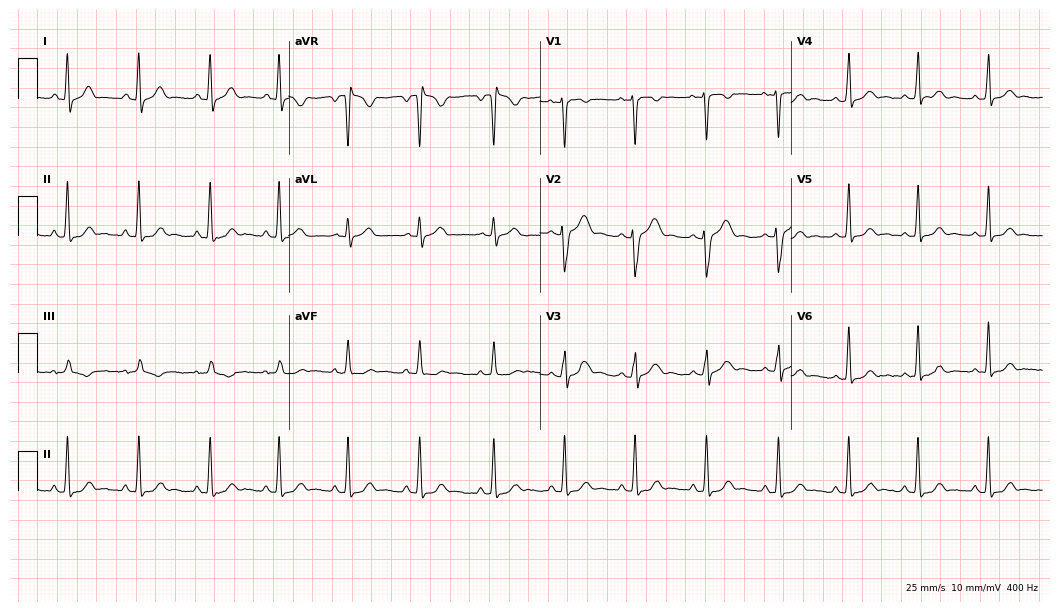
ECG (10.2-second recording at 400 Hz) — a 27-year-old woman. Labelled as a normal ECG.